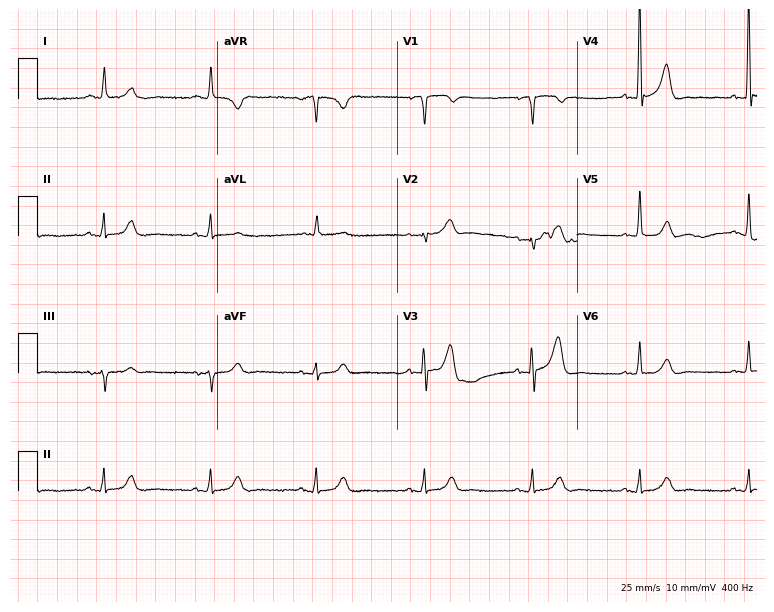
12-lead ECG from a male patient, 78 years old. No first-degree AV block, right bundle branch block (RBBB), left bundle branch block (LBBB), sinus bradycardia, atrial fibrillation (AF) or sinus tachycardia recorded for this tracing.